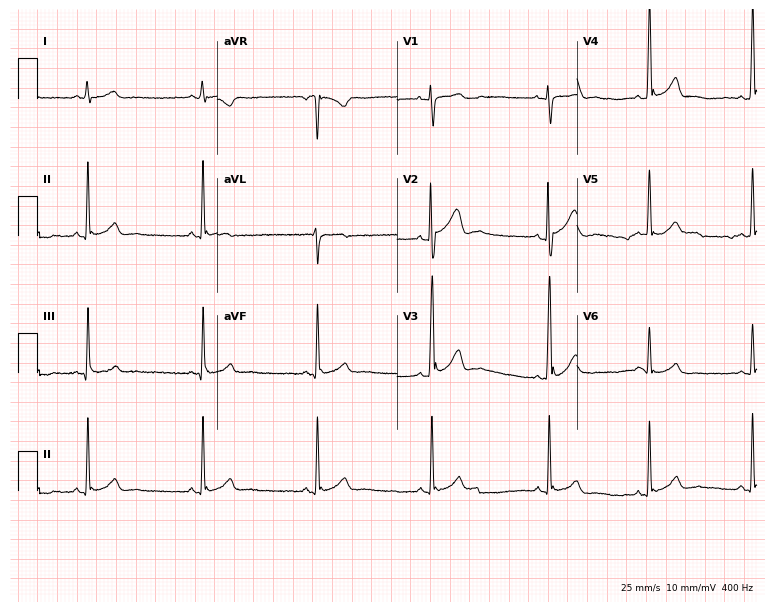
Electrocardiogram, a male, 22 years old. Overall reading on record: normal ECG.